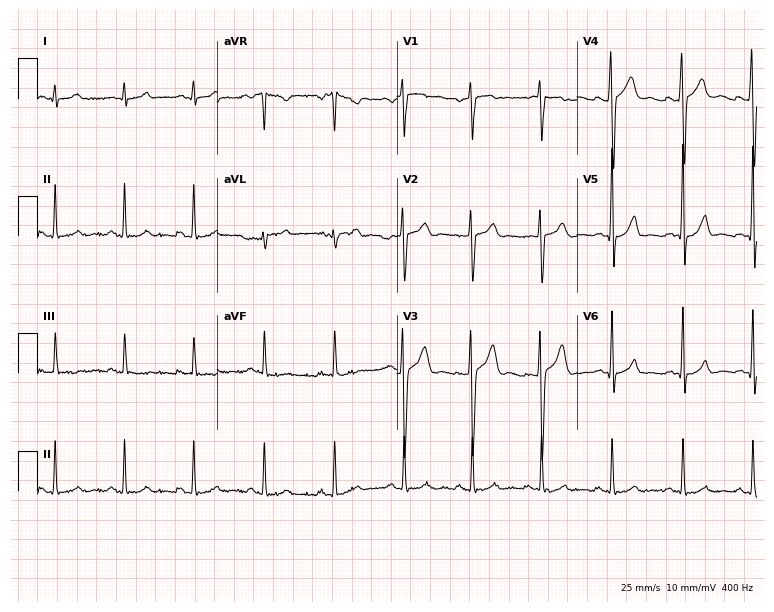
12-lead ECG from a male patient, 31 years old. No first-degree AV block, right bundle branch block, left bundle branch block, sinus bradycardia, atrial fibrillation or sinus tachycardia recorded for this tracing.